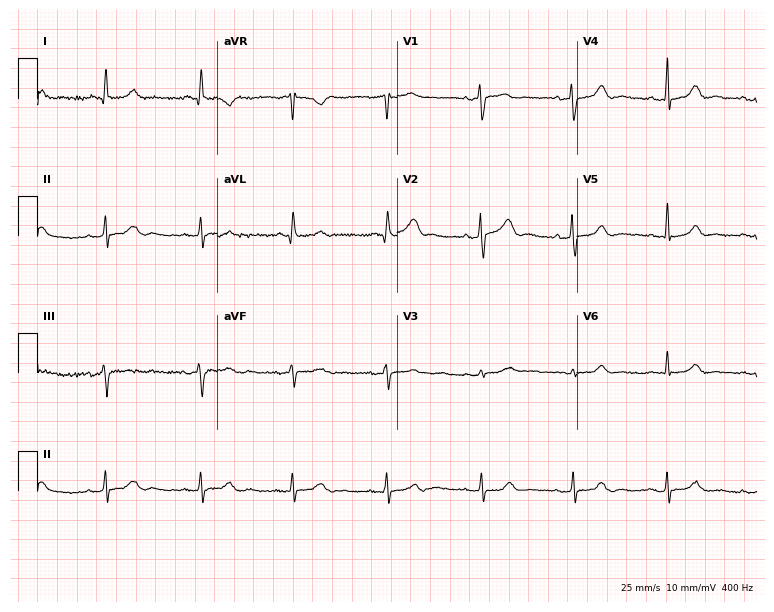
Standard 12-lead ECG recorded from a male patient, 85 years old (7.3-second recording at 400 Hz). None of these six findings is recorded: first-degree AV block, right bundle branch block (RBBB), left bundle branch block (LBBB), sinus bradycardia, atrial fibrillation (AF), sinus tachycardia. Findings outside these six are not listed.